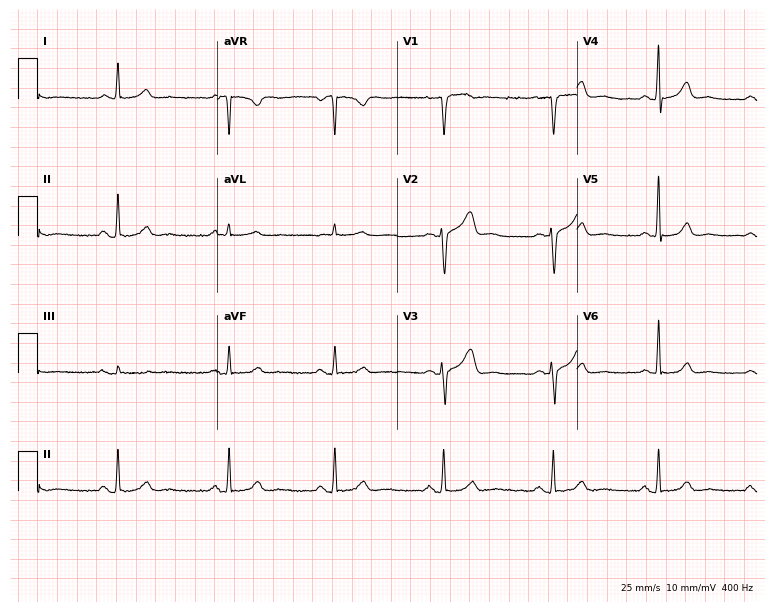
Standard 12-lead ECG recorded from a 51-year-old woman. None of these six findings is recorded: first-degree AV block, right bundle branch block, left bundle branch block, sinus bradycardia, atrial fibrillation, sinus tachycardia. Findings outside these six are not listed.